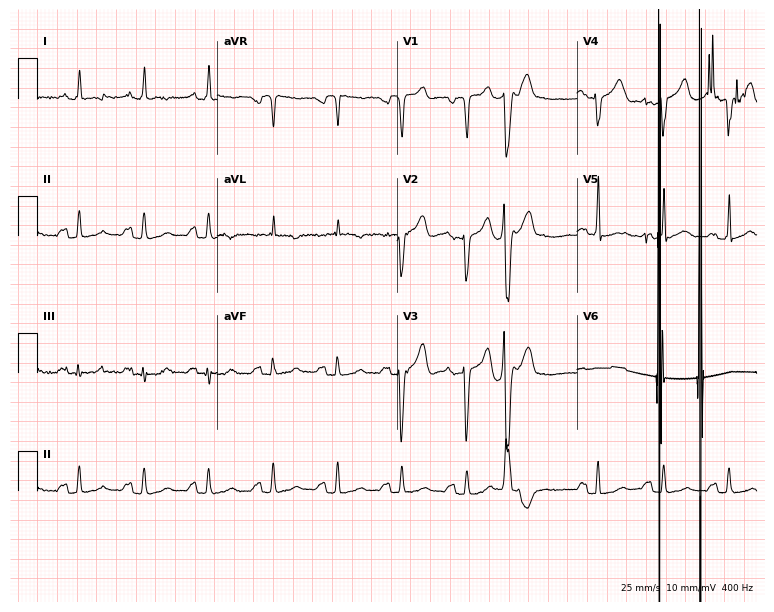
Resting 12-lead electrocardiogram. Patient: an 81-year-old male. The tracing shows atrial fibrillation.